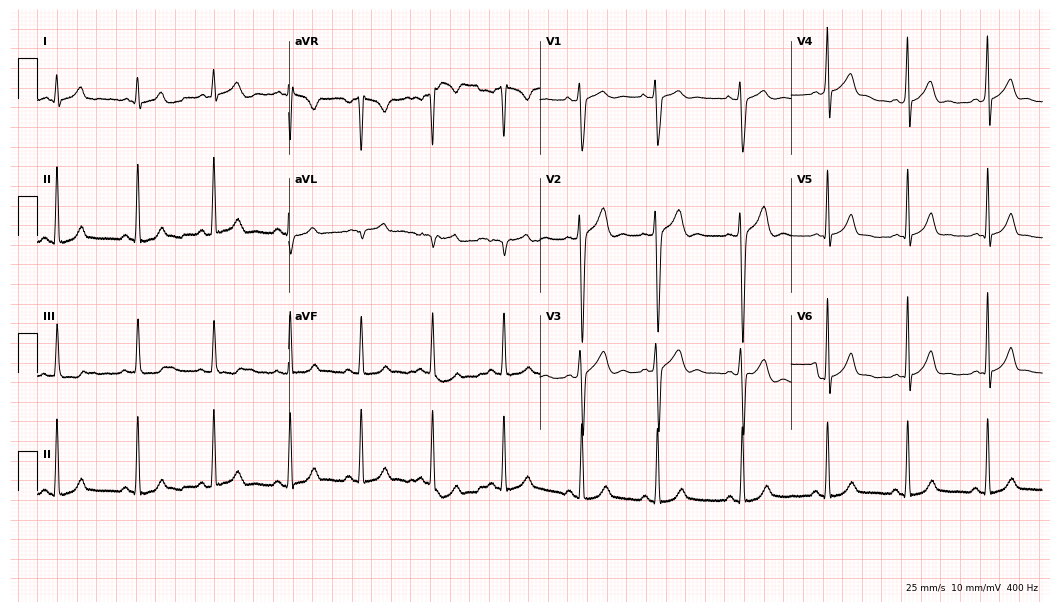
Electrocardiogram (10.2-second recording at 400 Hz), a male, 19 years old. Overall reading on record: normal ECG.